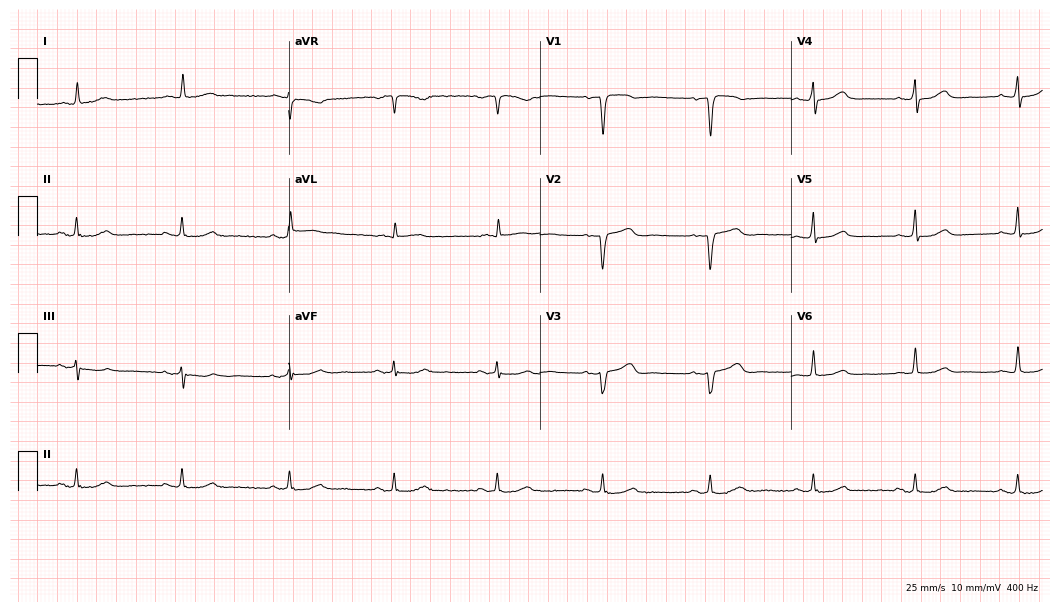
12-lead ECG from a 57-year-old female. Screened for six findings — first-degree AV block, right bundle branch block (RBBB), left bundle branch block (LBBB), sinus bradycardia, atrial fibrillation (AF), sinus tachycardia — none is recorded.